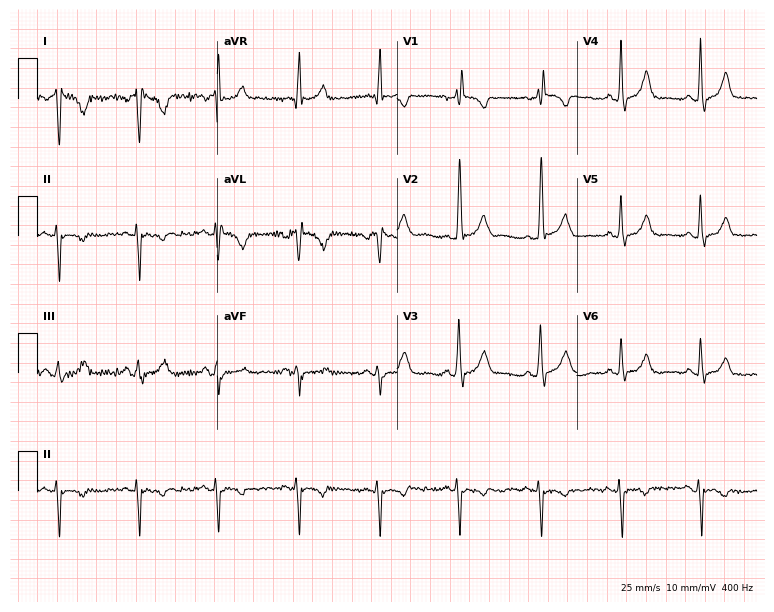
12-lead ECG from a 75-year-old woman. No first-degree AV block, right bundle branch block, left bundle branch block, sinus bradycardia, atrial fibrillation or sinus tachycardia recorded for this tracing. Other findings, if any, are not listed.